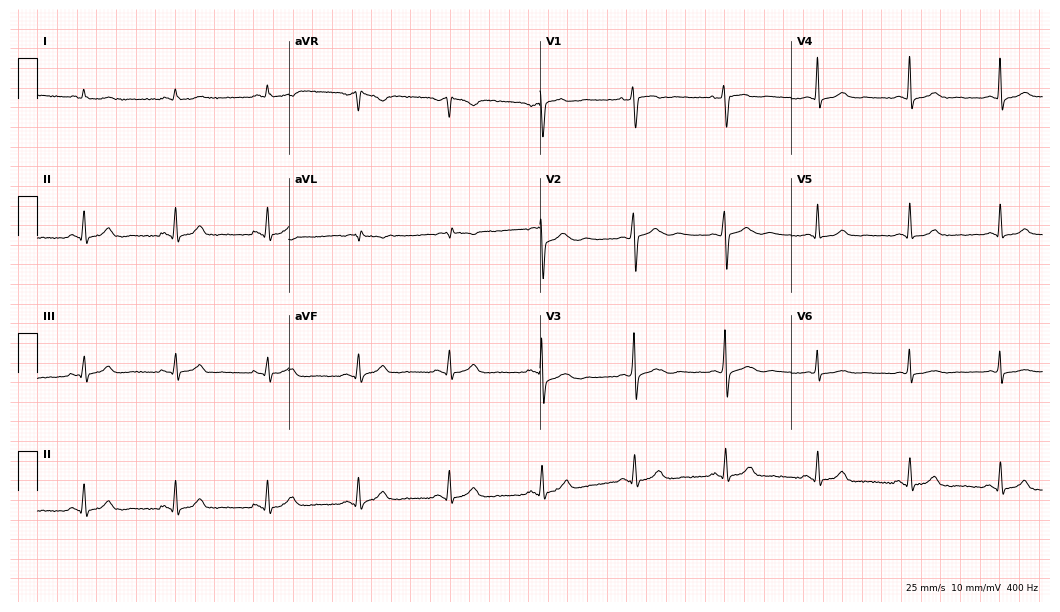
12-lead ECG (10.2-second recording at 400 Hz) from a 50-year-old male. Labelled as a normal ECG.